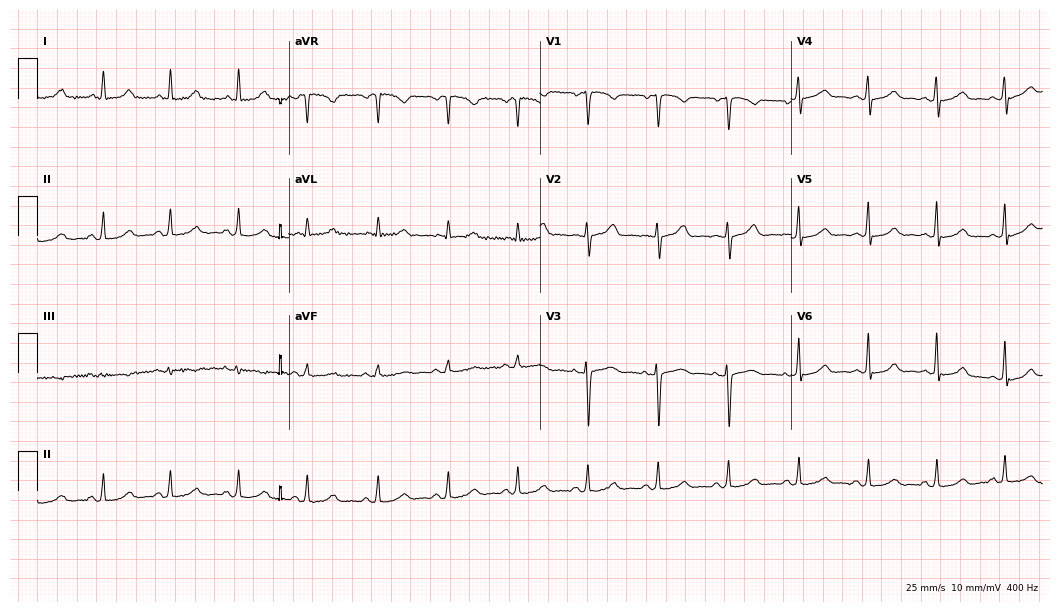
Electrocardiogram (10.2-second recording at 400 Hz), a female patient, 29 years old. Overall reading on record: normal ECG.